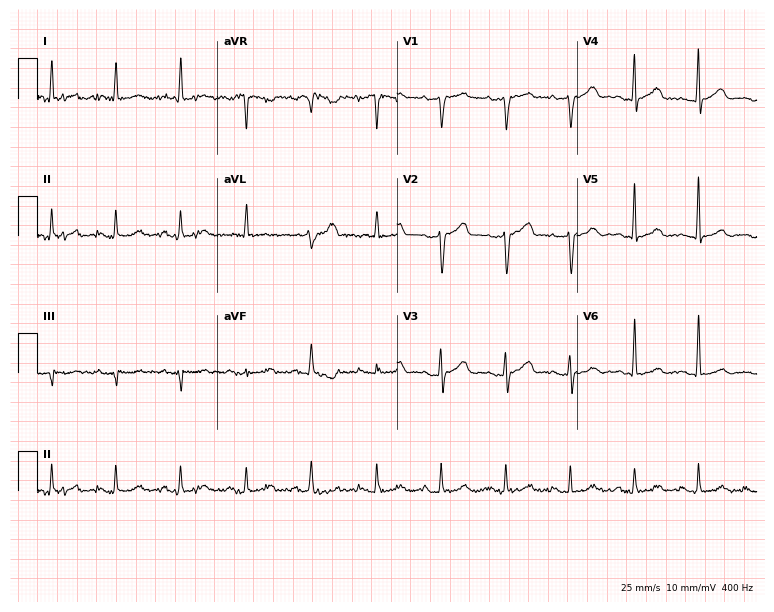
12-lead ECG from a man, 66 years old. No first-degree AV block, right bundle branch block (RBBB), left bundle branch block (LBBB), sinus bradycardia, atrial fibrillation (AF) or sinus tachycardia recorded for this tracing. Findings outside these six are not listed.